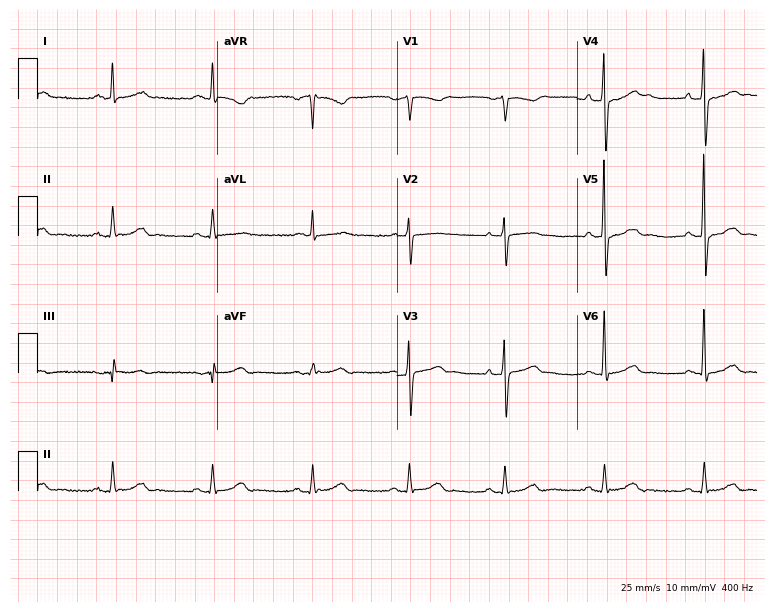
Resting 12-lead electrocardiogram. Patient: a man, 65 years old. None of these six findings is recorded: first-degree AV block, right bundle branch block, left bundle branch block, sinus bradycardia, atrial fibrillation, sinus tachycardia. Only these six findings were labelled.